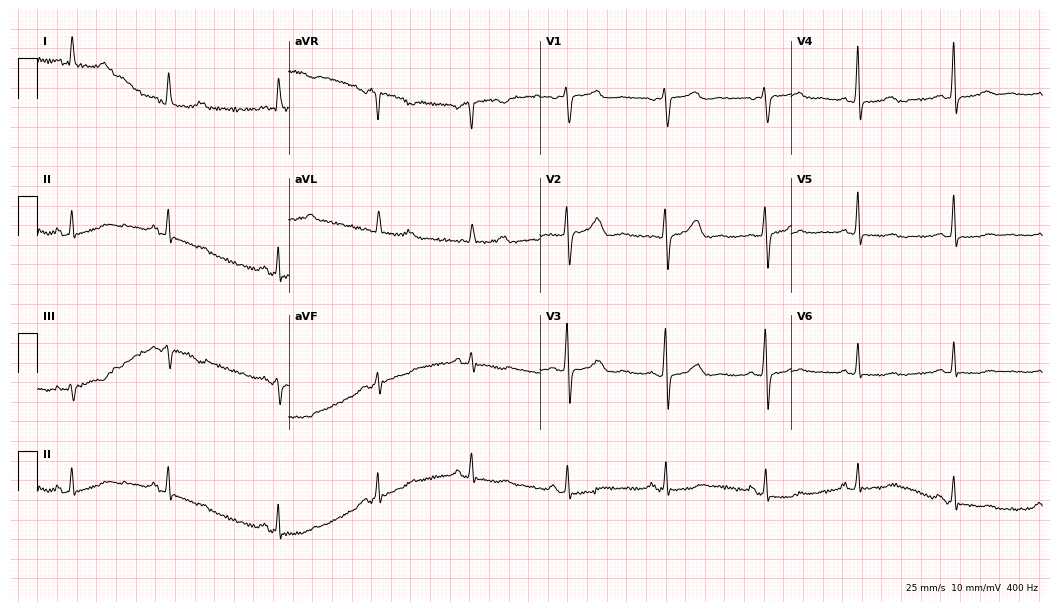
12-lead ECG from a 55-year-old female patient. No first-degree AV block, right bundle branch block, left bundle branch block, sinus bradycardia, atrial fibrillation or sinus tachycardia recorded for this tracing. Findings outside these six are not listed.